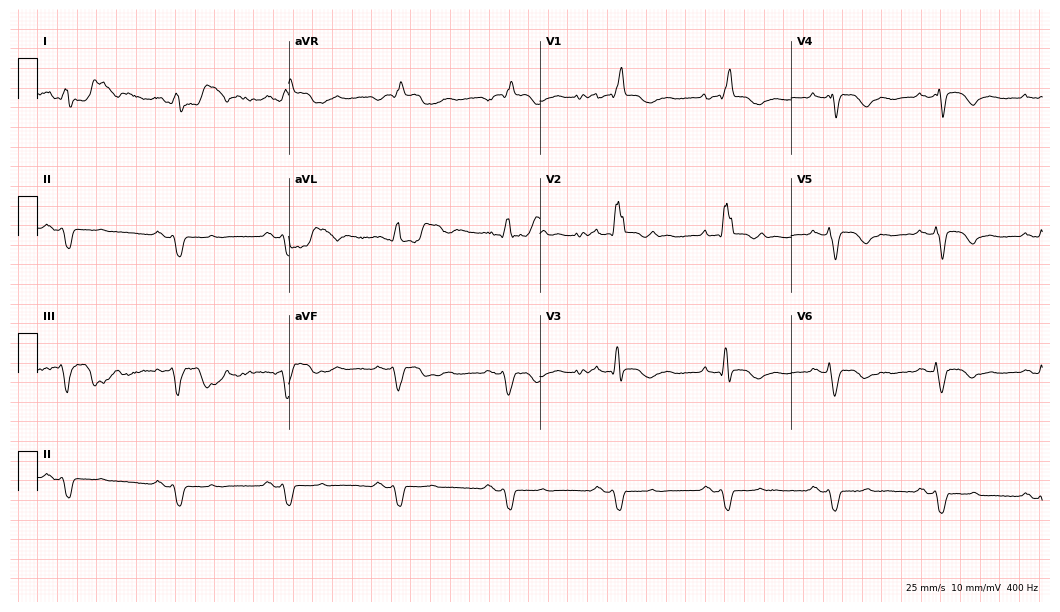
Standard 12-lead ECG recorded from a male, 53 years old (10.2-second recording at 400 Hz). The tracing shows right bundle branch block.